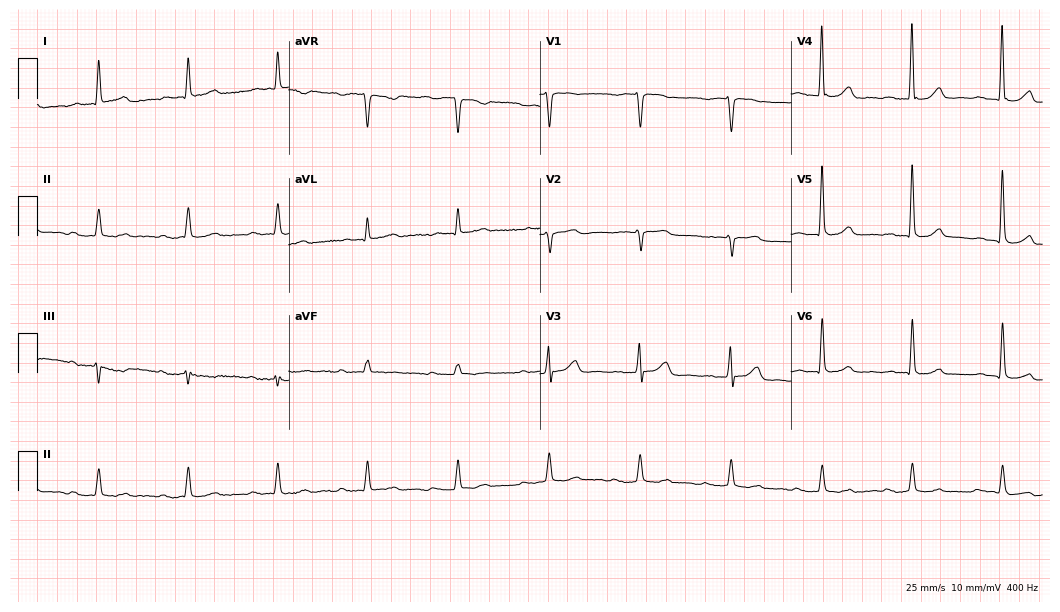
Standard 12-lead ECG recorded from an 80-year-old male (10.2-second recording at 400 Hz). Read as a normal ECG.